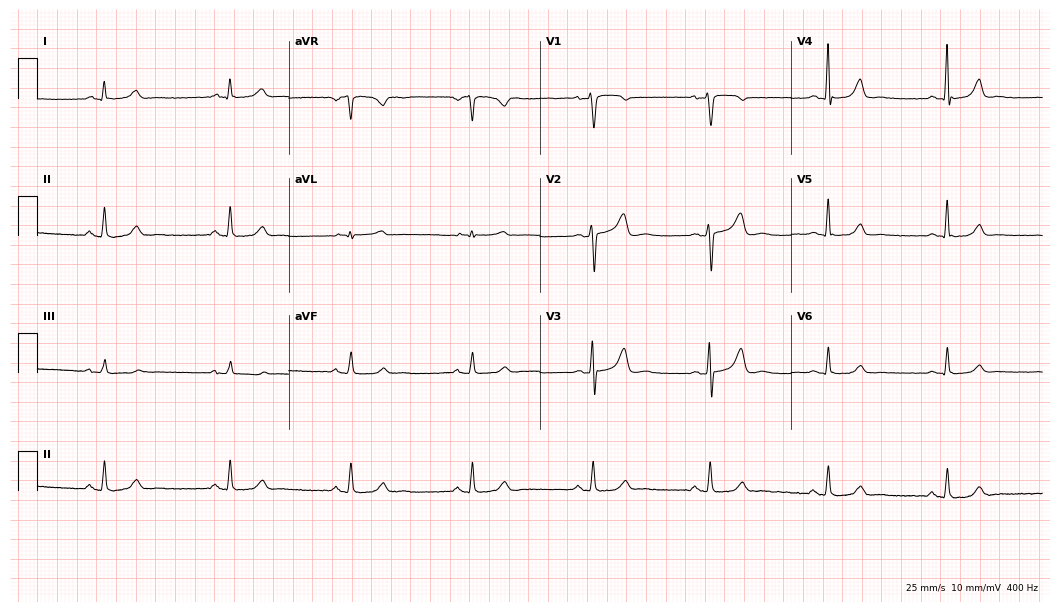
Electrocardiogram, a 42-year-old female. Interpretation includes sinus bradycardia (a sinus rate of 50 beats per minute or less).